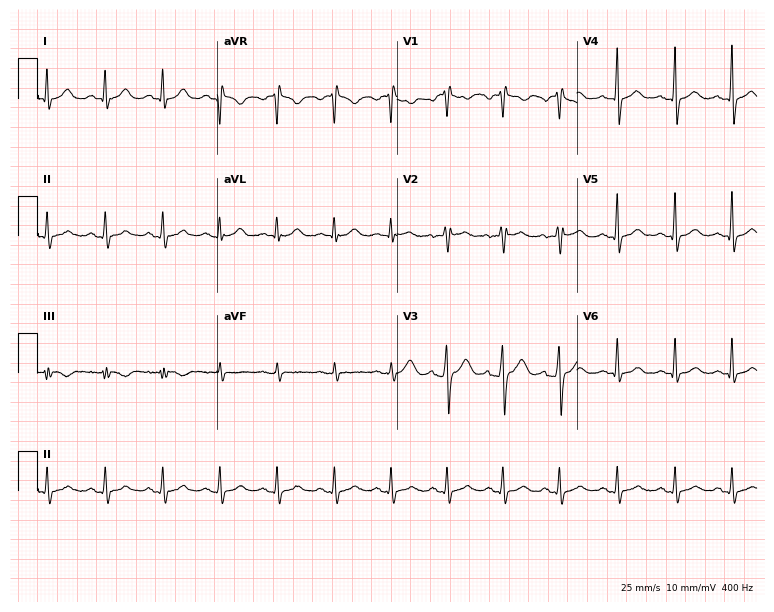
Standard 12-lead ECG recorded from a 36-year-old male patient (7.3-second recording at 400 Hz). None of these six findings is recorded: first-degree AV block, right bundle branch block, left bundle branch block, sinus bradycardia, atrial fibrillation, sinus tachycardia.